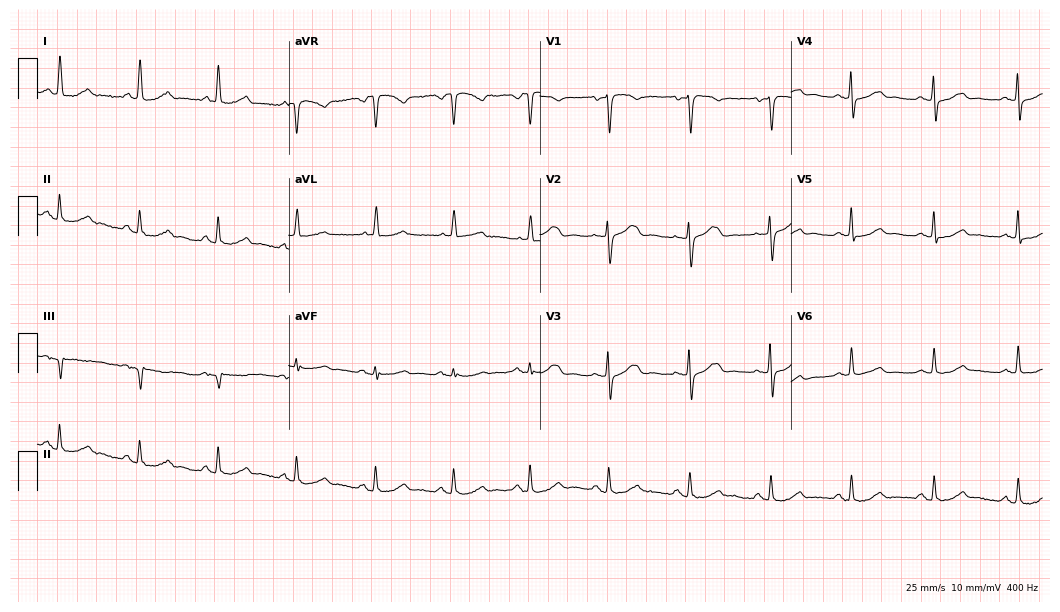
Standard 12-lead ECG recorded from a 69-year-old woman. Read as a normal ECG.